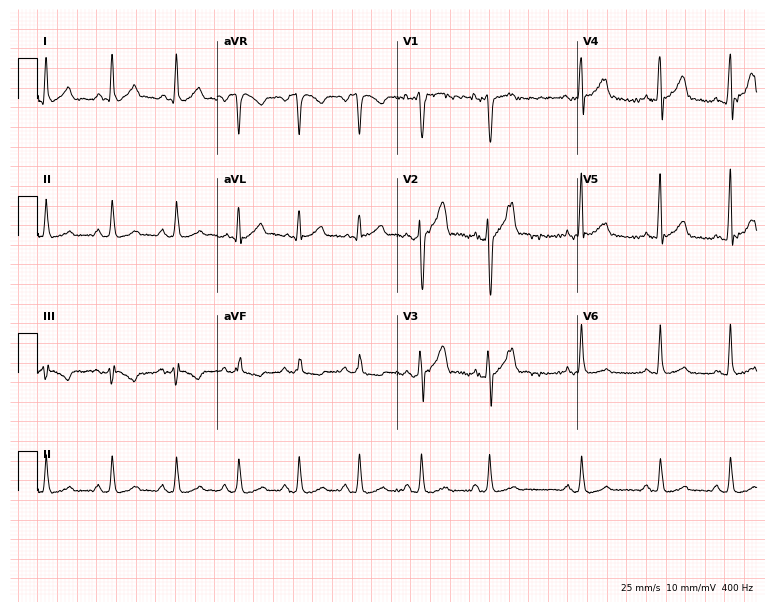
12-lead ECG (7.3-second recording at 400 Hz) from a 35-year-old male. Screened for six findings — first-degree AV block, right bundle branch block, left bundle branch block, sinus bradycardia, atrial fibrillation, sinus tachycardia — none is recorded. Findings outside these six are not listed.